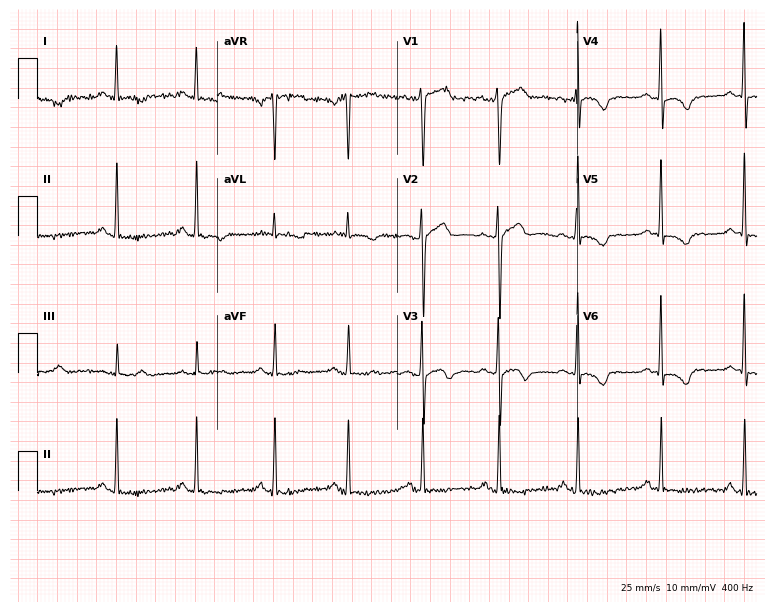
Standard 12-lead ECG recorded from a 59-year-old man. None of these six findings is recorded: first-degree AV block, right bundle branch block (RBBB), left bundle branch block (LBBB), sinus bradycardia, atrial fibrillation (AF), sinus tachycardia.